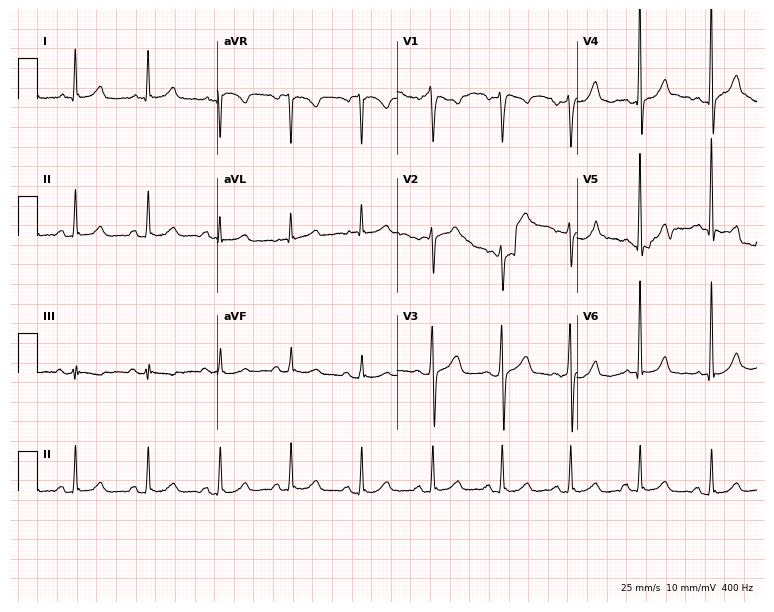
Electrocardiogram, a male, 47 years old. Overall reading on record: normal ECG.